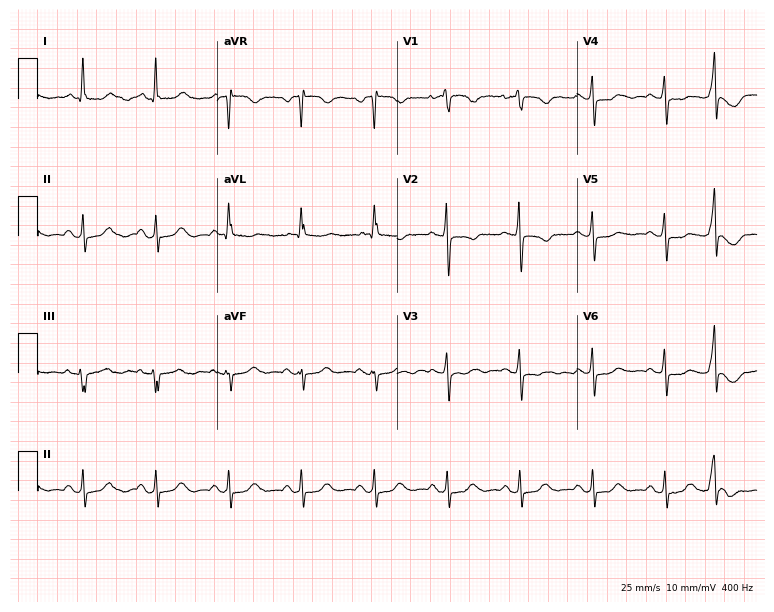
ECG (7.3-second recording at 400 Hz) — a 68-year-old woman. Screened for six findings — first-degree AV block, right bundle branch block, left bundle branch block, sinus bradycardia, atrial fibrillation, sinus tachycardia — none is recorded.